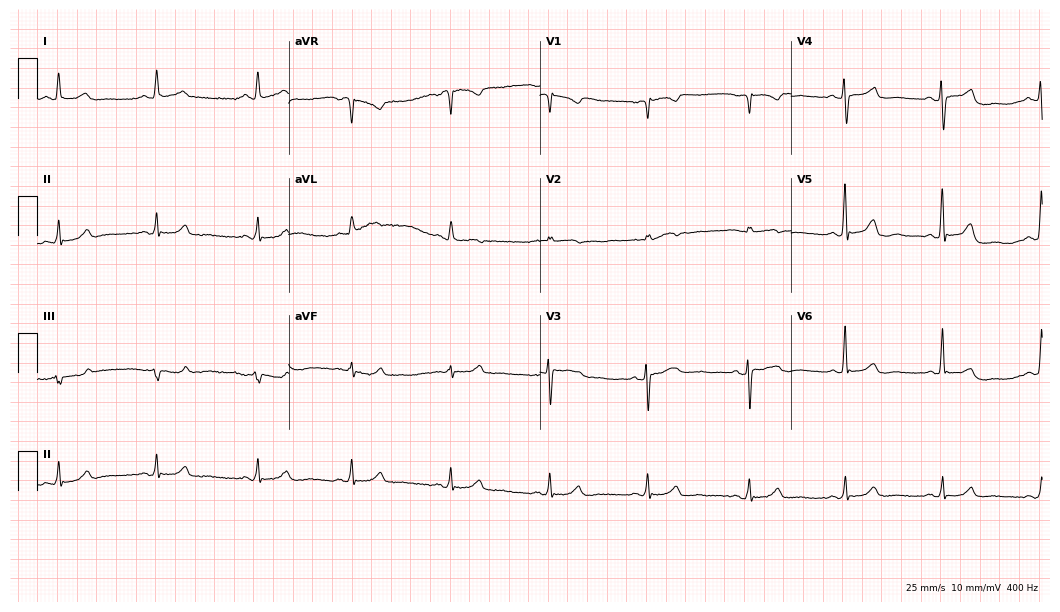
Standard 12-lead ECG recorded from a woman, 72 years old. Read as a normal ECG.